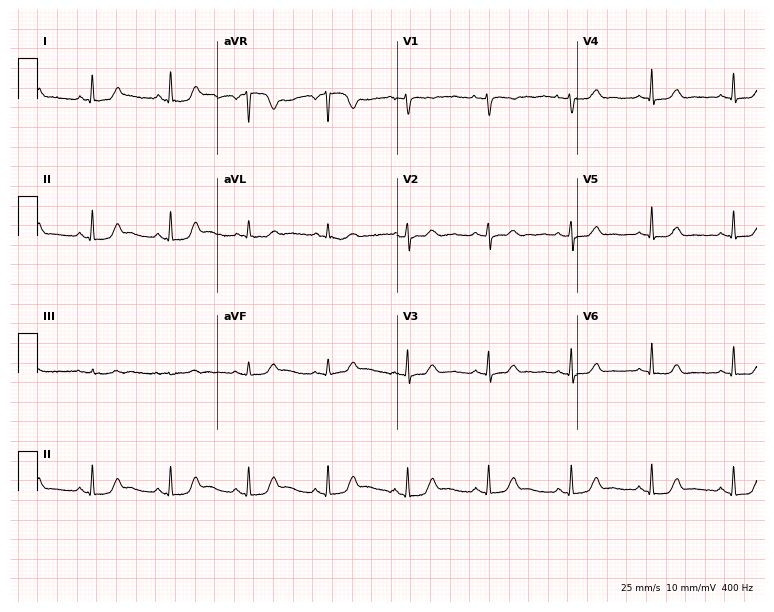
ECG — a female, 57 years old. Screened for six findings — first-degree AV block, right bundle branch block (RBBB), left bundle branch block (LBBB), sinus bradycardia, atrial fibrillation (AF), sinus tachycardia — none is recorded.